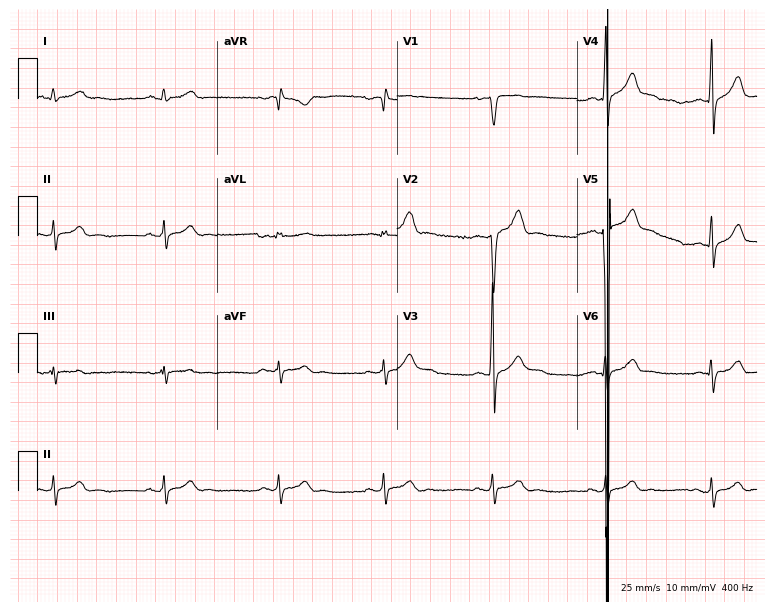
12-lead ECG from a 27-year-old male patient. No first-degree AV block, right bundle branch block (RBBB), left bundle branch block (LBBB), sinus bradycardia, atrial fibrillation (AF) or sinus tachycardia recorded for this tracing.